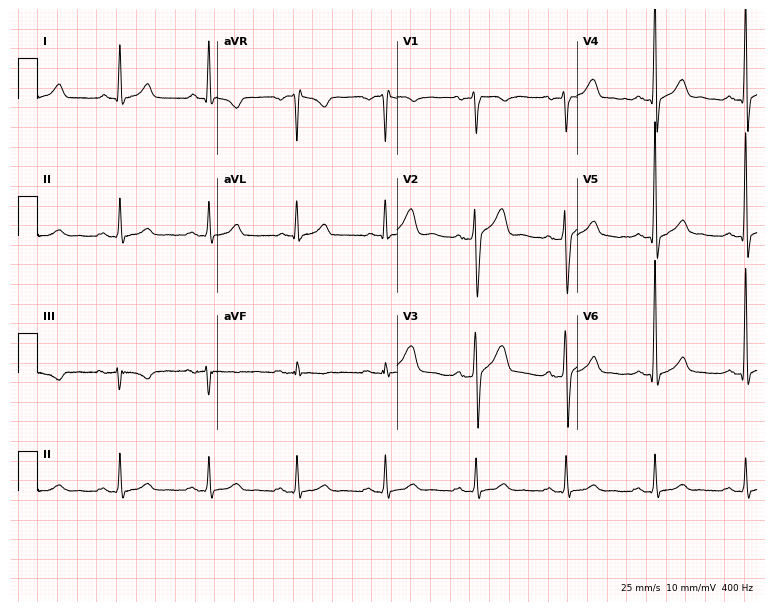
Electrocardiogram, a male patient, 50 years old. Of the six screened findings (first-degree AV block, right bundle branch block, left bundle branch block, sinus bradycardia, atrial fibrillation, sinus tachycardia), none is recorded.